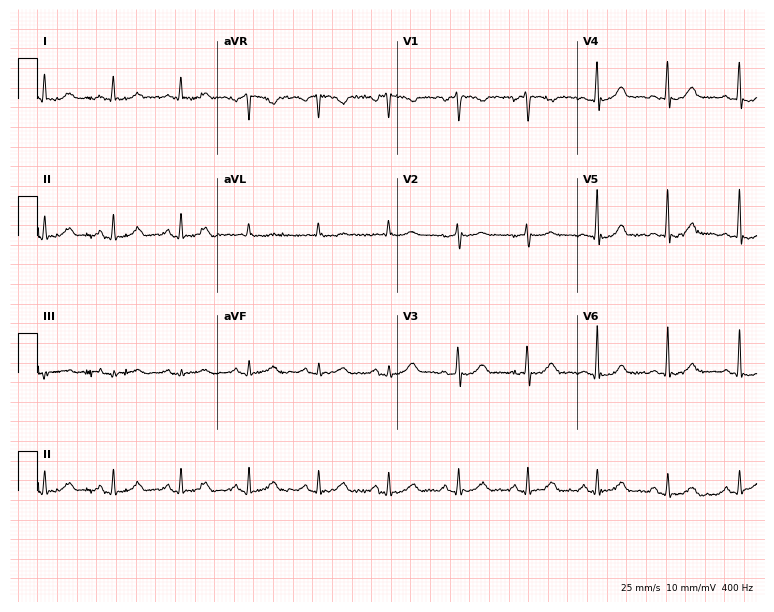
ECG (7.3-second recording at 400 Hz) — a 64-year-old woman. Labelled as a normal ECG.